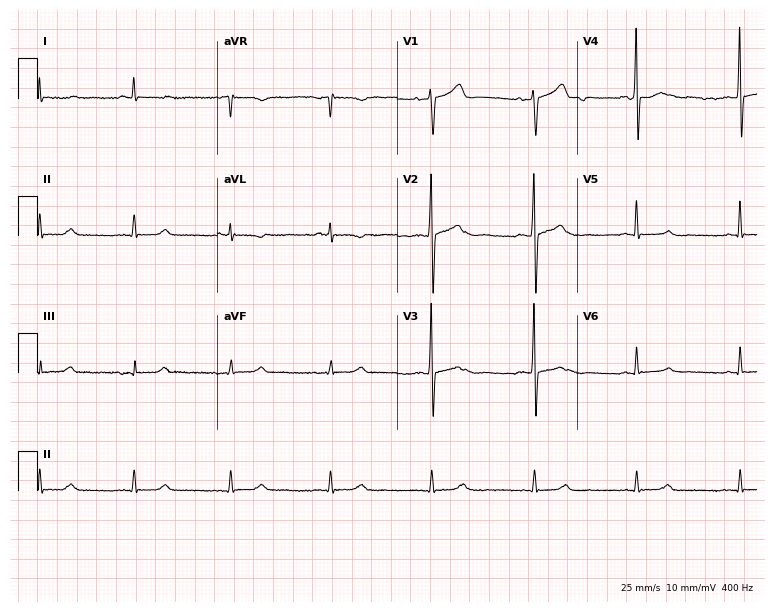
12-lead ECG (7.3-second recording at 400 Hz) from a male patient, 58 years old. Labelled as a normal ECG.